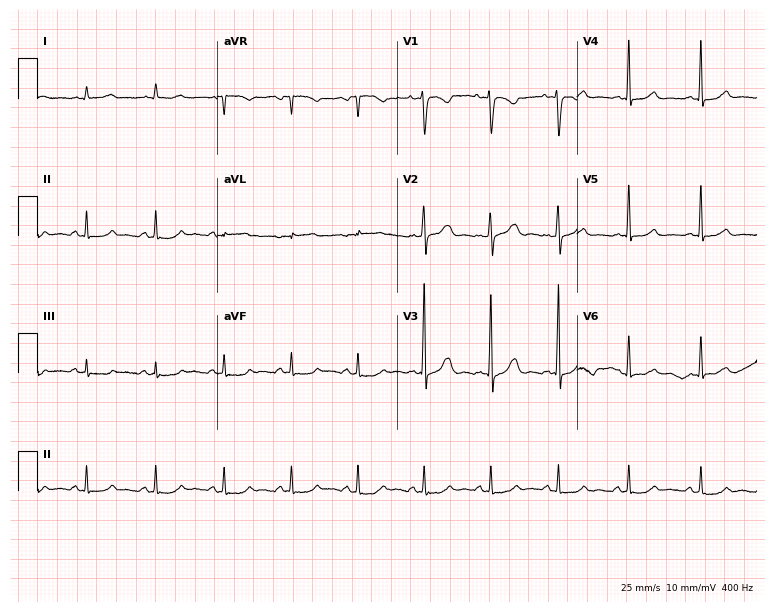
ECG (7.3-second recording at 400 Hz) — a 38-year-old woman. Screened for six findings — first-degree AV block, right bundle branch block, left bundle branch block, sinus bradycardia, atrial fibrillation, sinus tachycardia — none is recorded. Only these six findings were labelled.